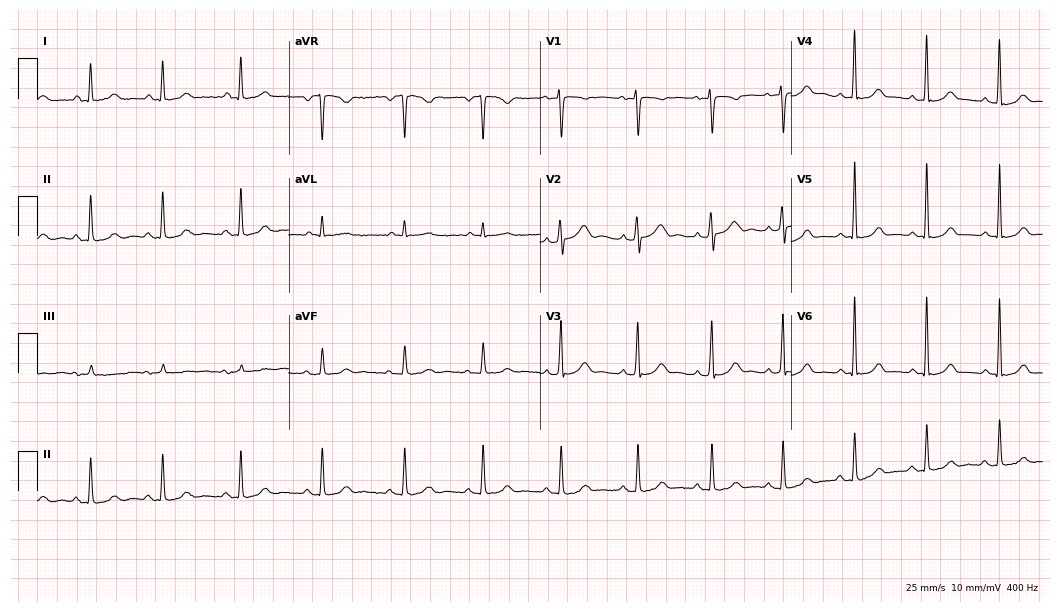
Resting 12-lead electrocardiogram. Patient: a 29-year-old female. Read as a normal ECG.